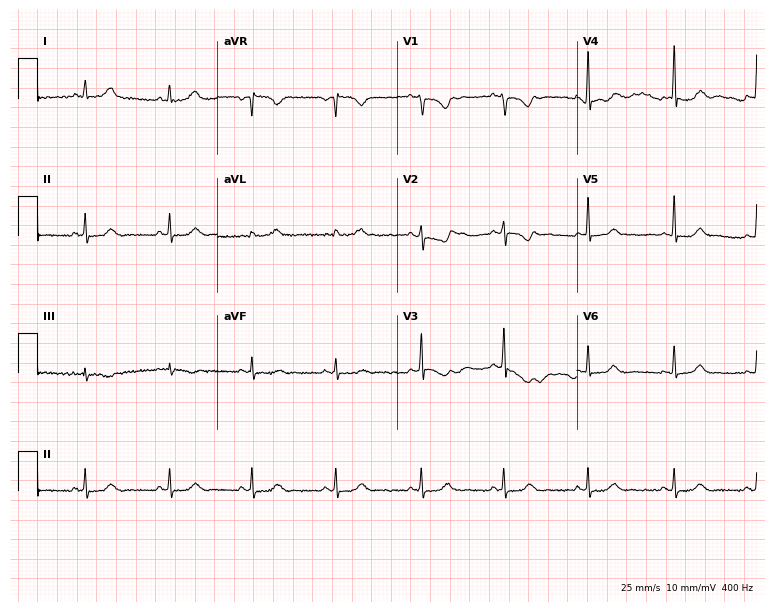
12-lead ECG (7.3-second recording at 400 Hz) from a female patient, 33 years old. Labelled as a normal ECG.